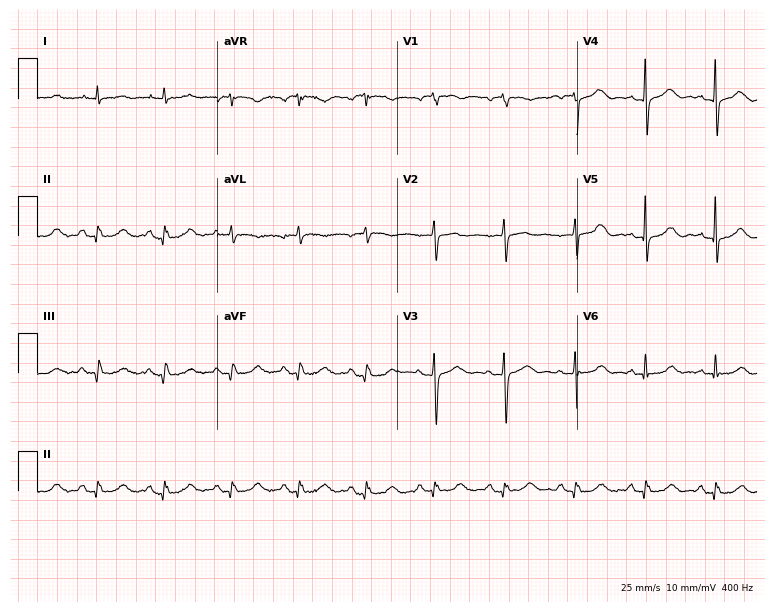
ECG — a man, 81 years old. Screened for six findings — first-degree AV block, right bundle branch block, left bundle branch block, sinus bradycardia, atrial fibrillation, sinus tachycardia — none is recorded. Findings outside these six are not listed.